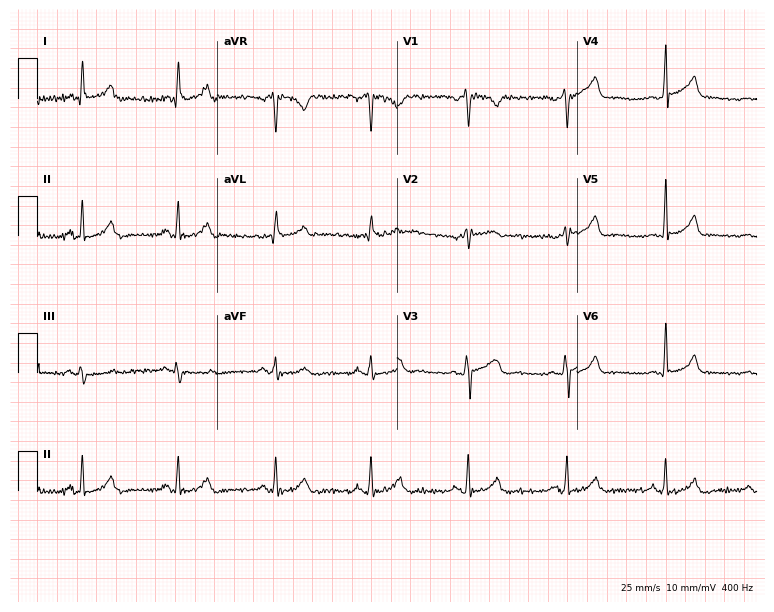
12-lead ECG from a female, 47 years old (7.3-second recording at 400 Hz). Recorded interpretation: within normal limits.